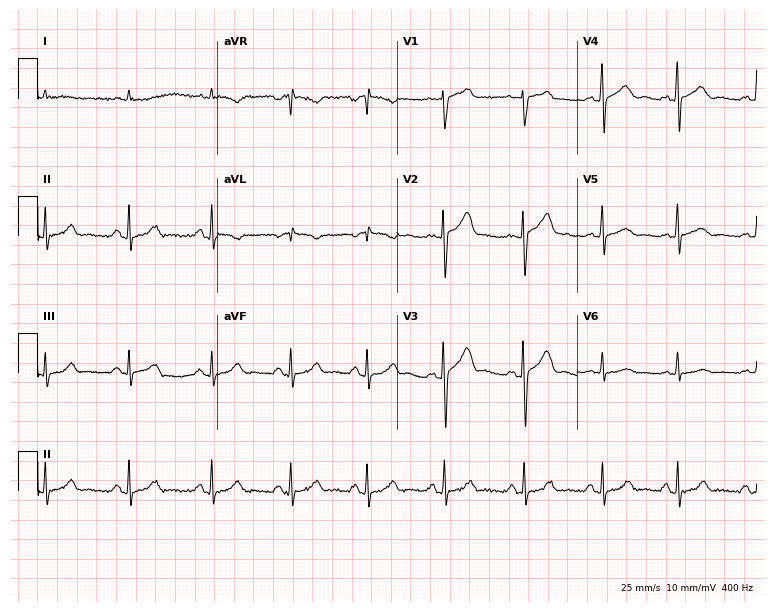
ECG — a male patient, 82 years old. Labelled as a normal ECG.